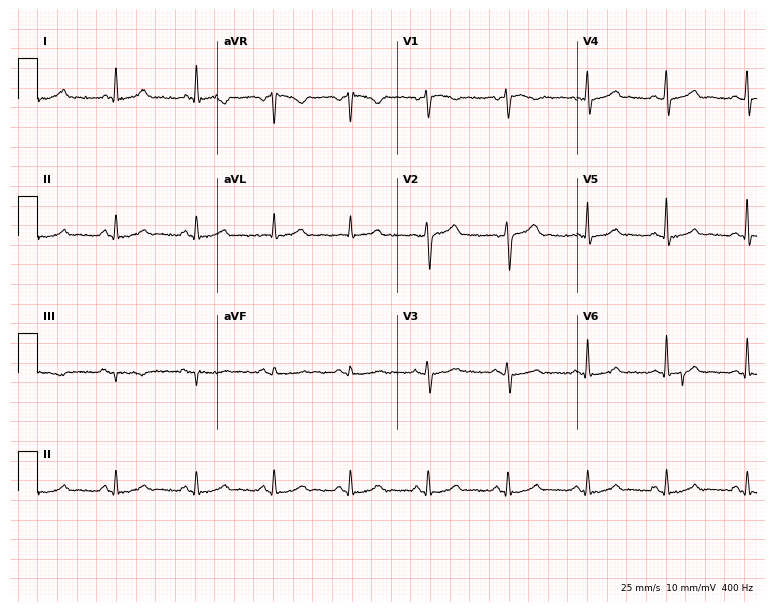
ECG (7.3-second recording at 400 Hz) — a female, 42 years old. Labelled as a normal ECG.